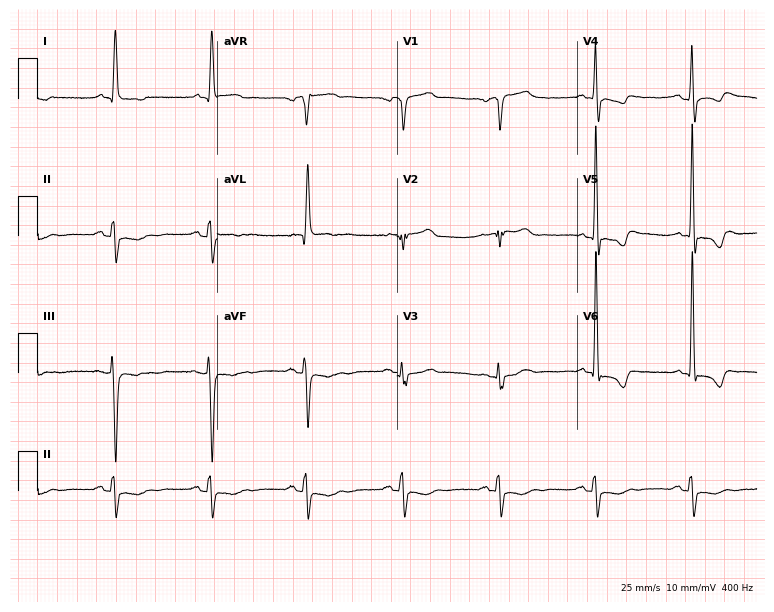
Electrocardiogram (7.3-second recording at 400 Hz), a 75-year-old man. Of the six screened findings (first-degree AV block, right bundle branch block, left bundle branch block, sinus bradycardia, atrial fibrillation, sinus tachycardia), none is recorded. Only these six findings were labelled.